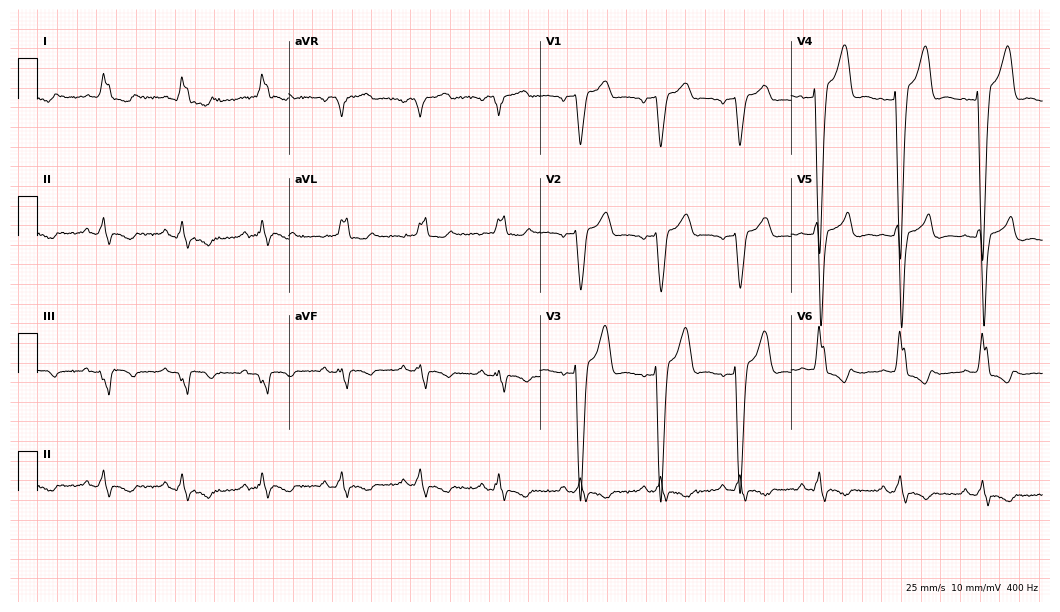
ECG (10.2-second recording at 400 Hz) — a male patient, 63 years old. Findings include left bundle branch block.